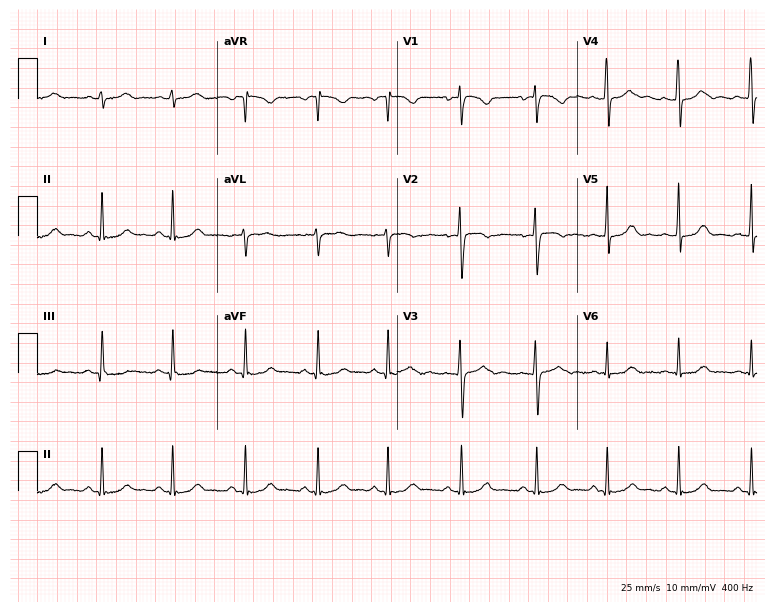
12-lead ECG from a 23-year-old female. Recorded interpretation: within normal limits.